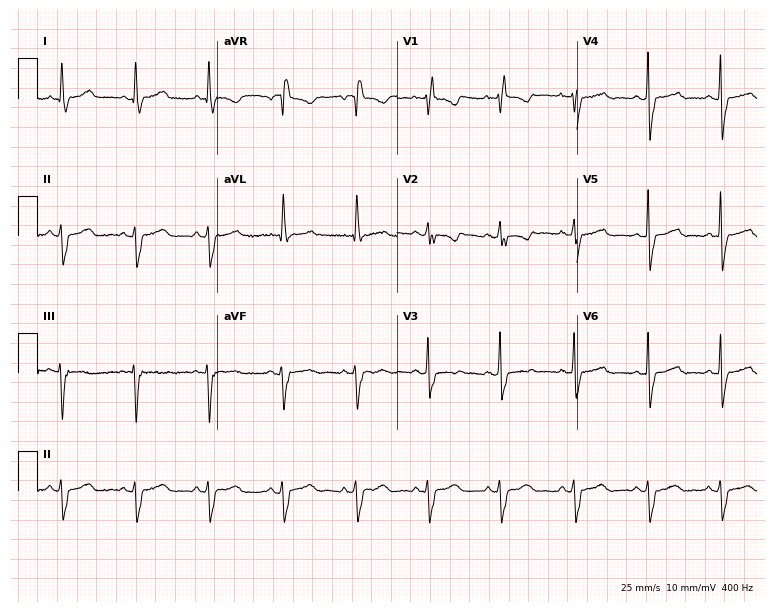
12-lead ECG (7.3-second recording at 400 Hz) from a 53-year-old woman. Screened for six findings — first-degree AV block, right bundle branch block, left bundle branch block, sinus bradycardia, atrial fibrillation, sinus tachycardia — none is recorded.